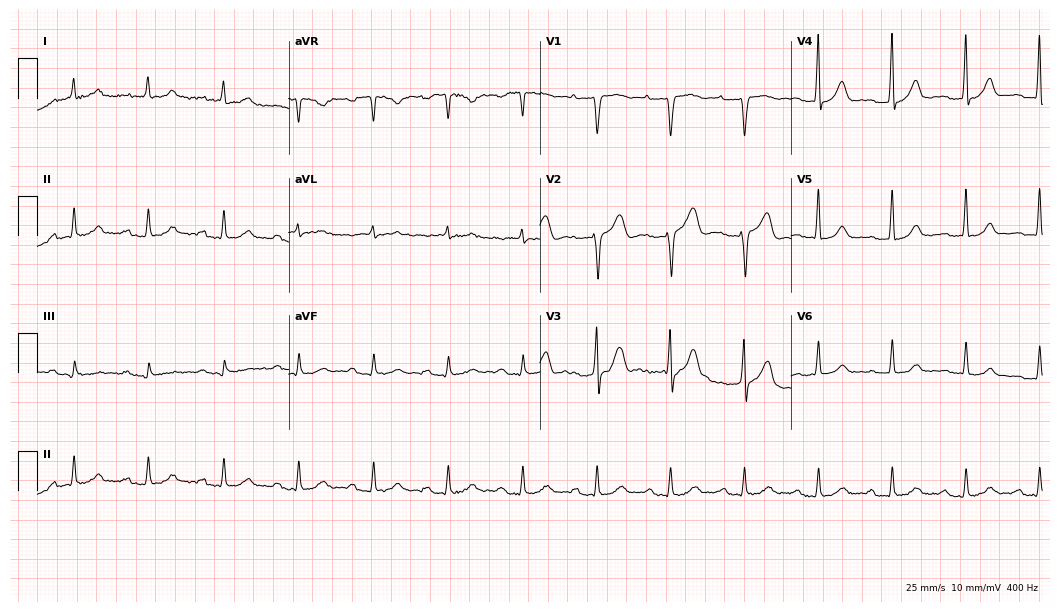
12-lead ECG from a 67-year-old man (10.2-second recording at 400 Hz). Shows first-degree AV block.